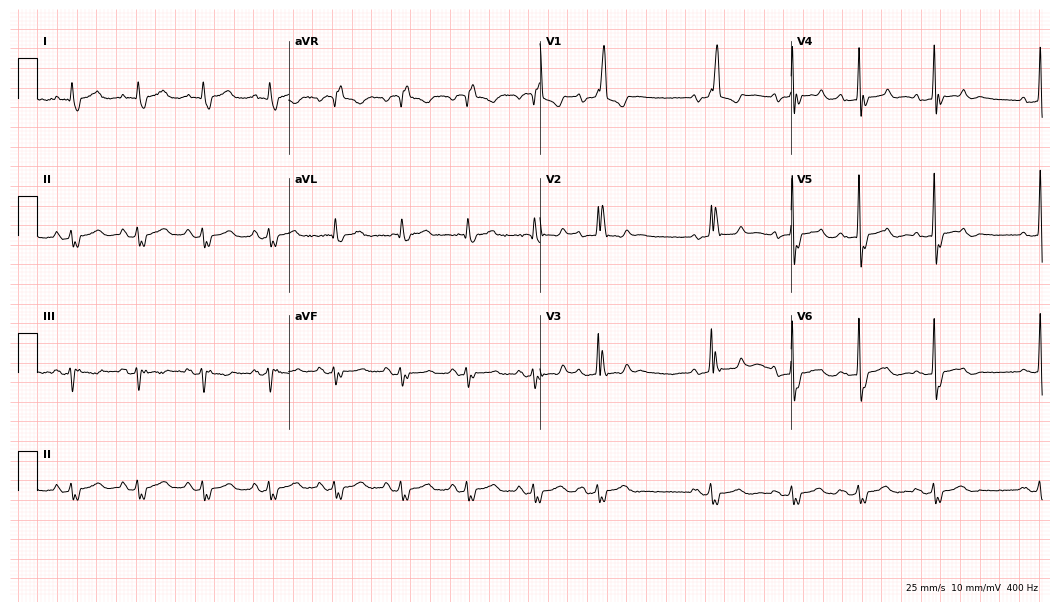
Resting 12-lead electrocardiogram. Patient: an 86-year-old male. The tracing shows right bundle branch block.